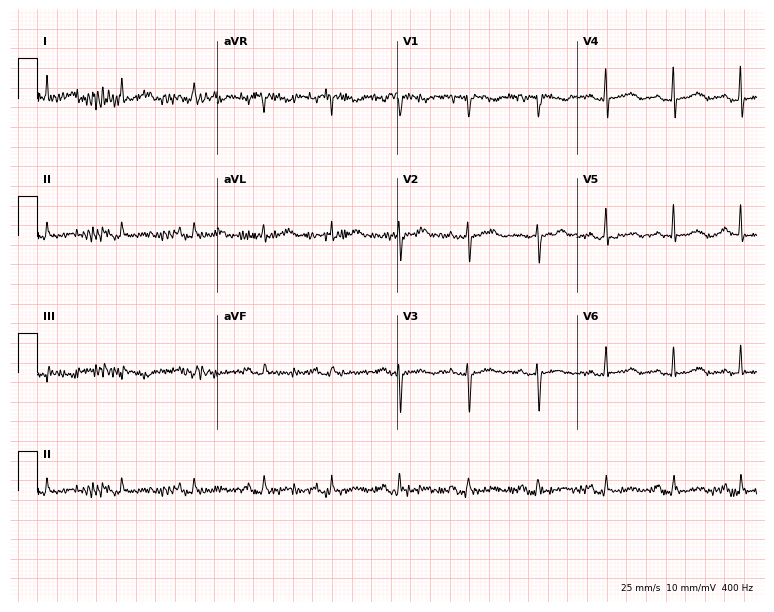
Resting 12-lead electrocardiogram. Patient: a 53-year-old female. None of these six findings is recorded: first-degree AV block, right bundle branch block, left bundle branch block, sinus bradycardia, atrial fibrillation, sinus tachycardia. Other findings, if any, are not listed.